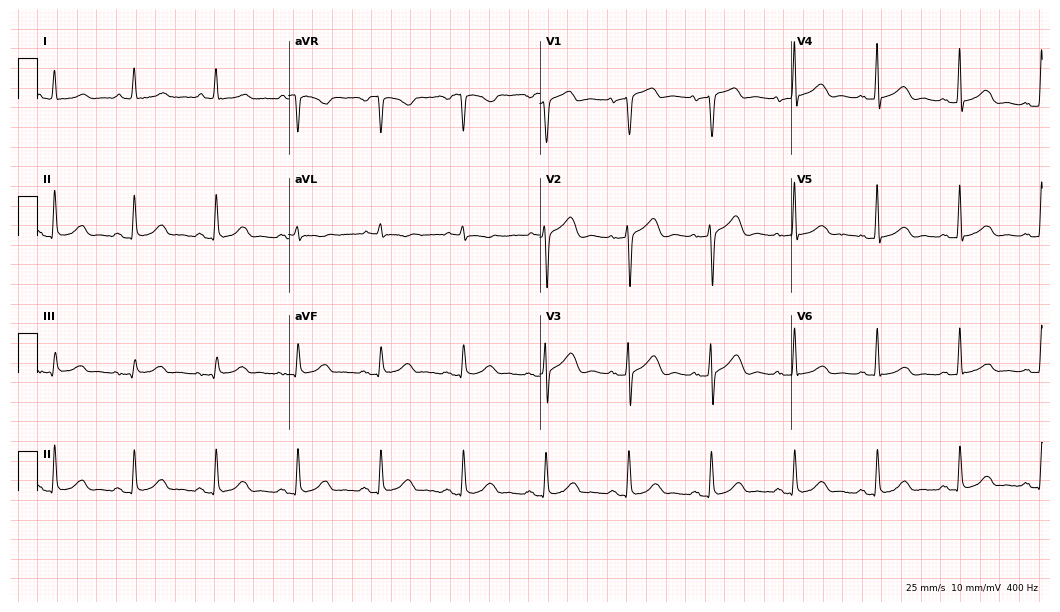
12-lead ECG from a woman, 74 years old. Screened for six findings — first-degree AV block, right bundle branch block, left bundle branch block, sinus bradycardia, atrial fibrillation, sinus tachycardia — none is recorded. Findings outside these six are not listed.